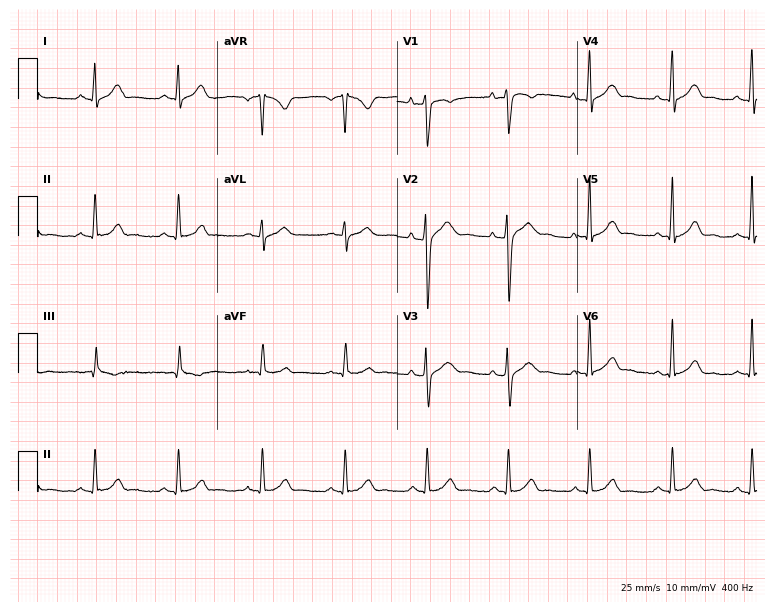
Standard 12-lead ECG recorded from a man, 28 years old (7.3-second recording at 400 Hz). None of these six findings is recorded: first-degree AV block, right bundle branch block, left bundle branch block, sinus bradycardia, atrial fibrillation, sinus tachycardia. Other findings, if any, are not listed.